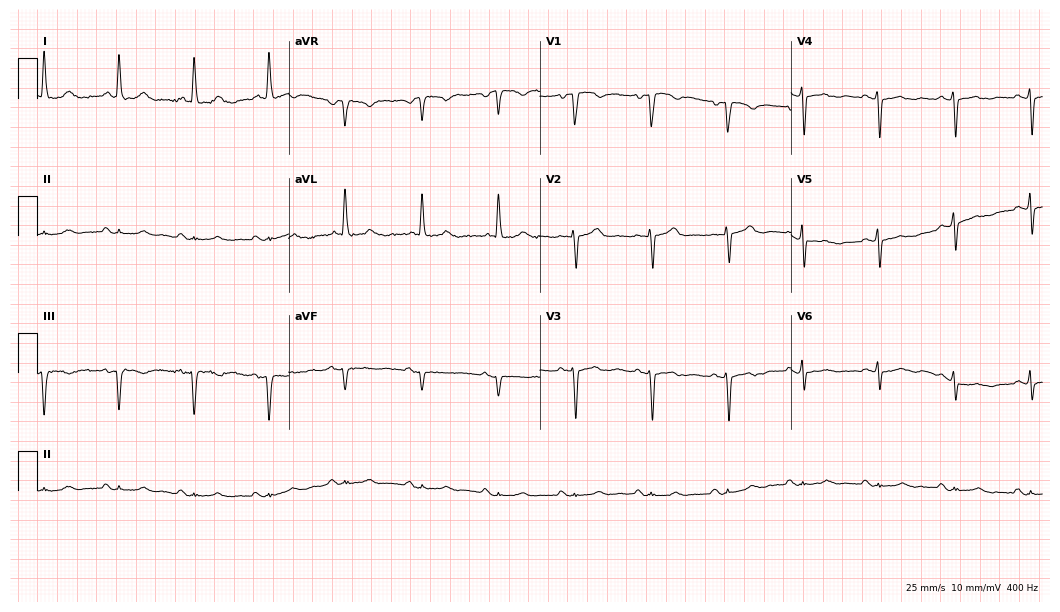
12-lead ECG from a woman, 76 years old (10.2-second recording at 400 Hz). No first-degree AV block, right bundle branch block (RBBB), left bundle branch block (LBBB), sinus bradycardia, atrial fibrillation (AF) or sinus tachycardia recorded for this tracing.